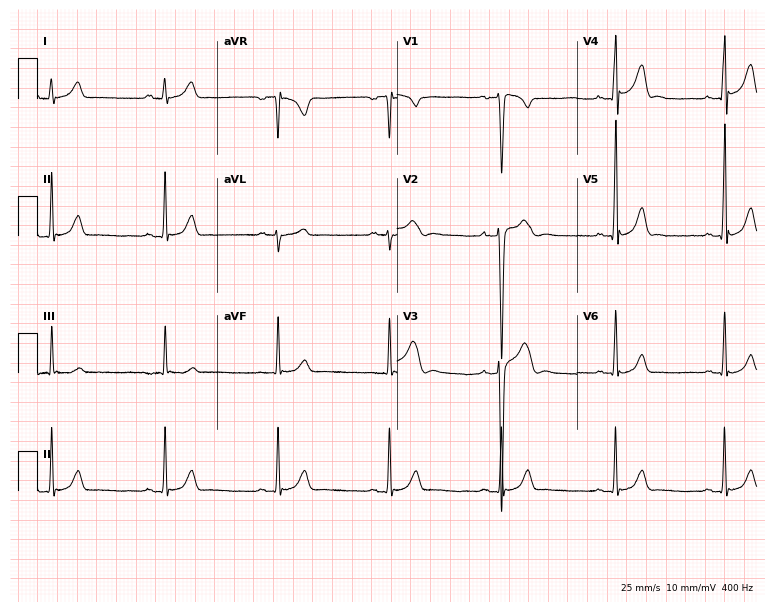
Standard 12-lead ECG recorded from a male patient, 19 years old. Read as a normal ECG.